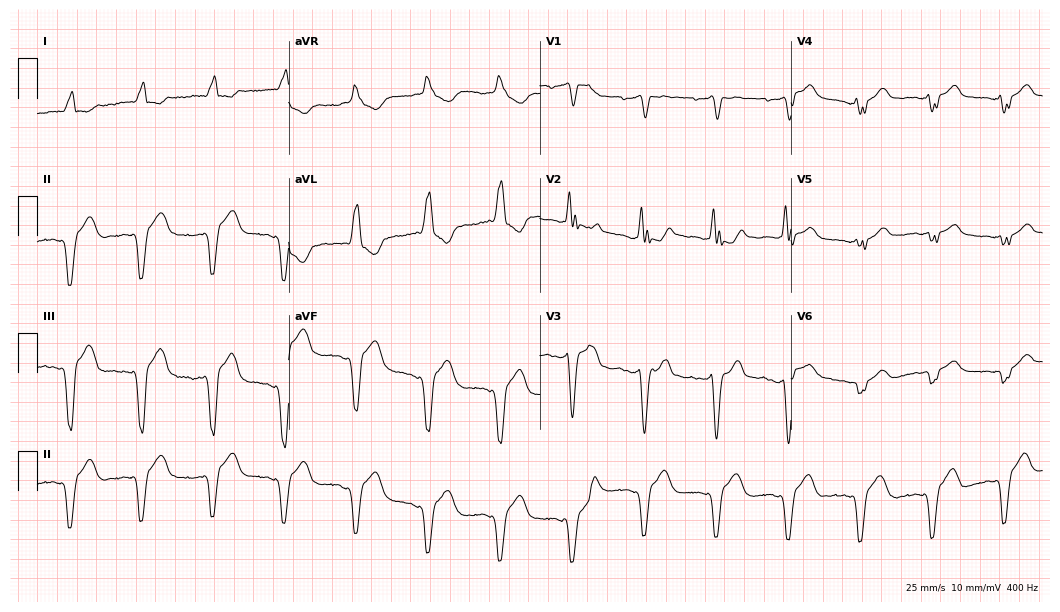
ECG (10.2-second recording at 400 Hz) — a 72-year-old female patient. Screened for six findings — first-degree AV block, right bundle branch block, left bundle branch block, sinus bradycardia, atrial fibrillation, sinus tachycardia — none is recorded.